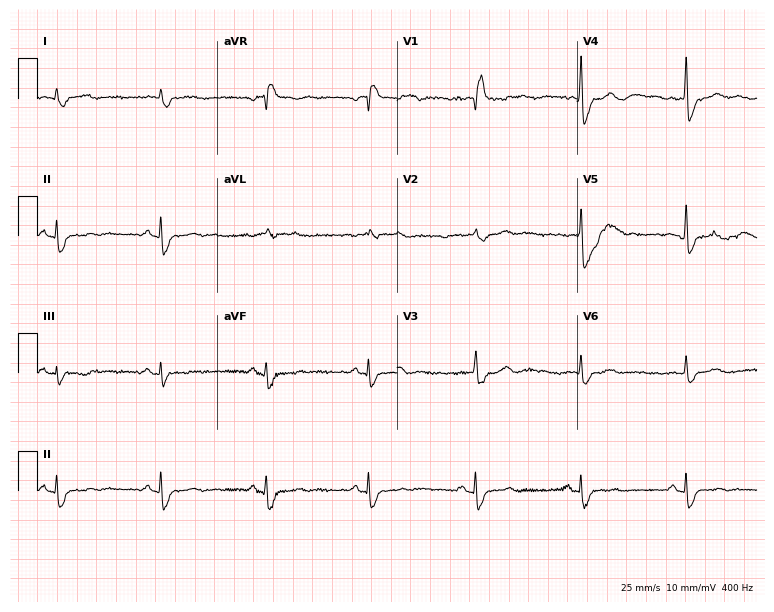
12-lead ECG from a male patient, 82 years old. Screened for six findings — first-degree AV block, right bundle branch block, left bundle branch block, sinus bradycardia, atrial fibrillation, sinus tachycardia — none is recorded. Findings outside these six are not listed.